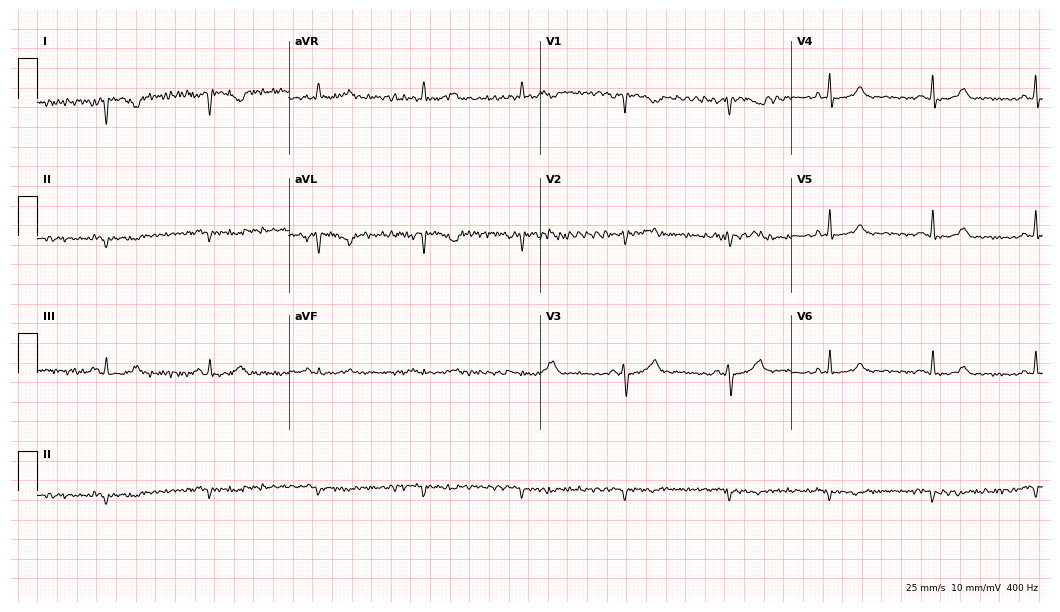
12-lead ECG (10.2-second recording at 400 Hz) from a female patient, 45 years old. Labelled as a normal ECG.